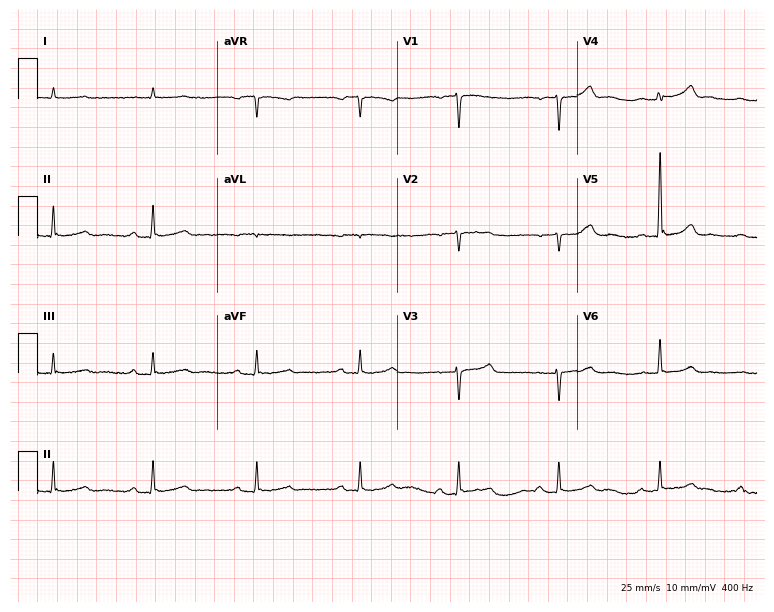
ECG (7.3-second recording at 400 Hz) — a male patient, 84 years old. Findings include first-degree AV block.